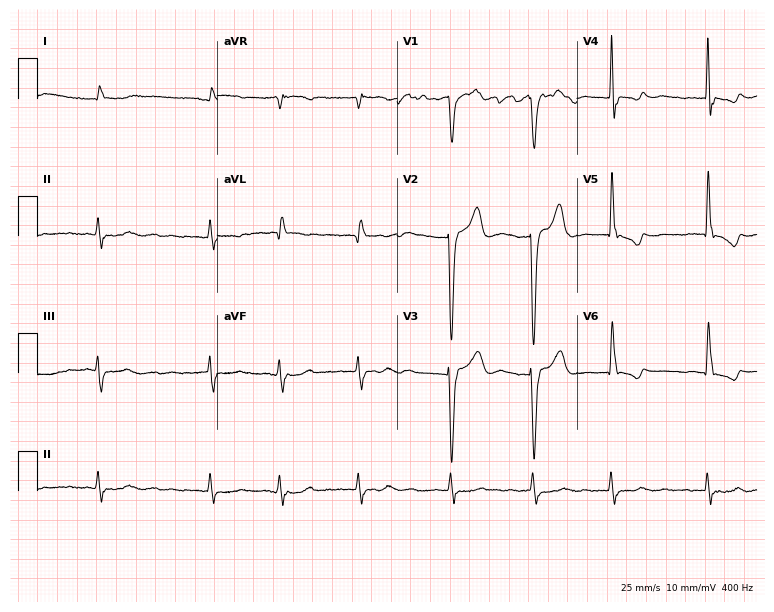
12-lead ECG from a female patient, 56 years old. Findings include atrial fibrillation (AF).